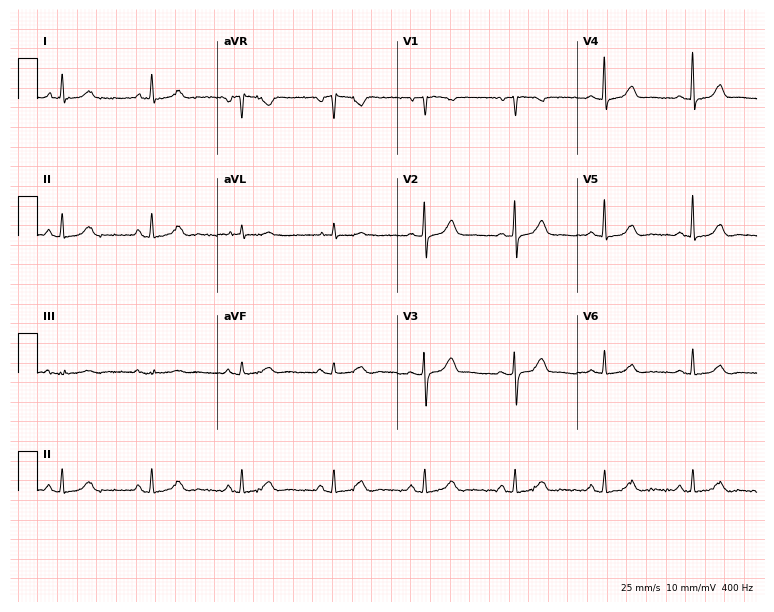
Electrocardiogram (7.3-second recording at 400 Hz), a 79-year-old female. Overall reading on record: normal ECG.